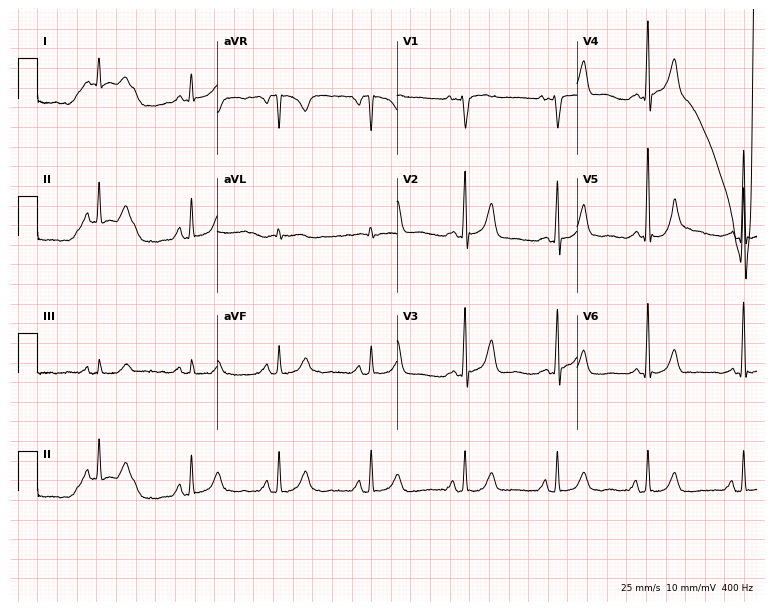
12-lead ECG (7.3-second recording at 400 Hz) from a 53-year-old male patient. Labelled as a normal ECG.